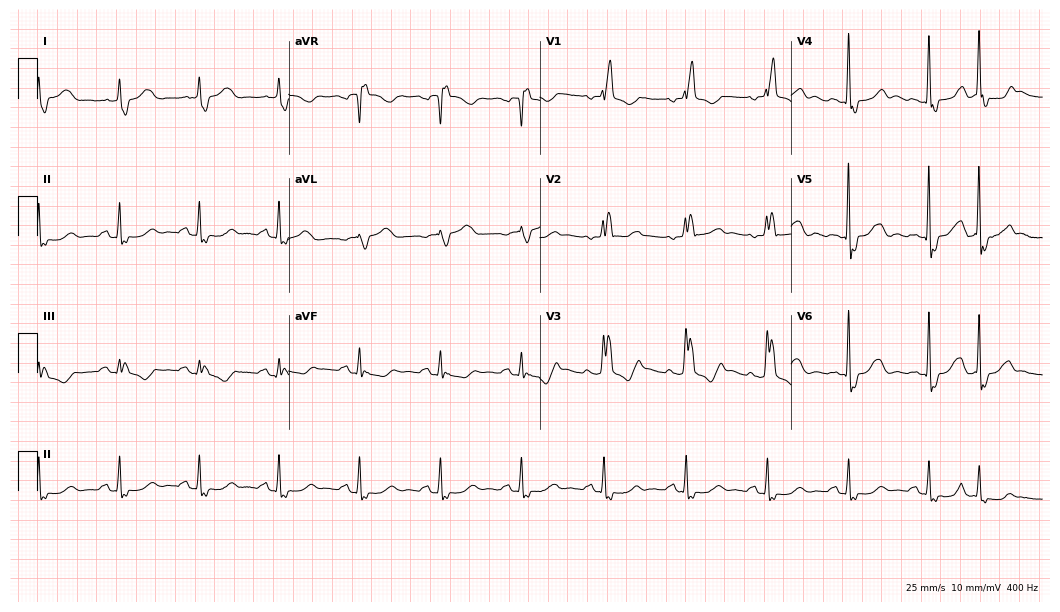
Resting 12-lead electrocardiogram (10.2-second recording at 400 Hz). Patient: a 70-year-old woman. The tracing shows right bundle branch block.